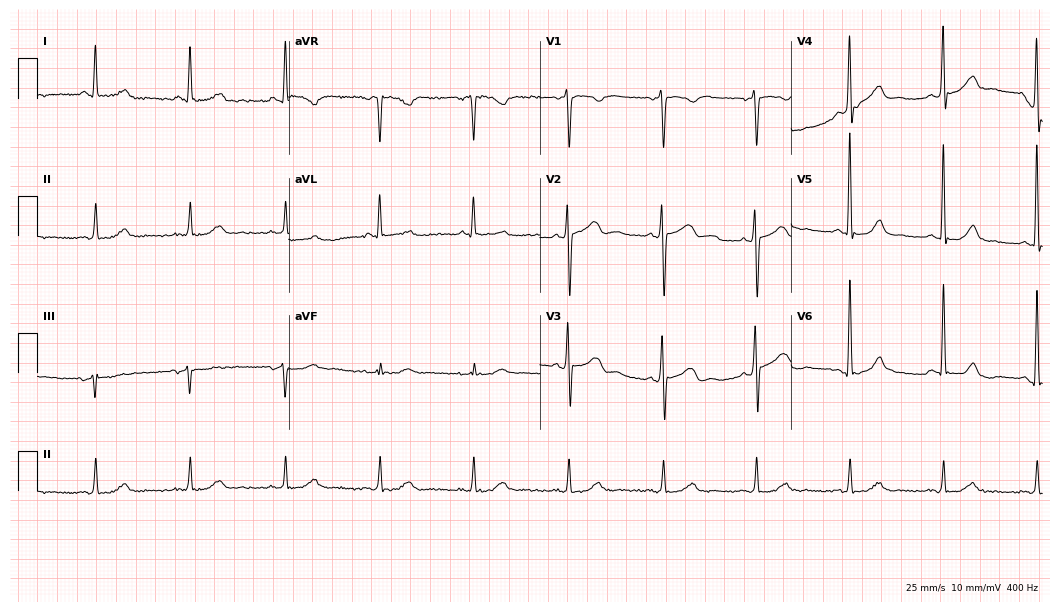
ECG (10.2-second recording at 400 Hz) — a man, 47 years old. Labelled as a normal ECG.